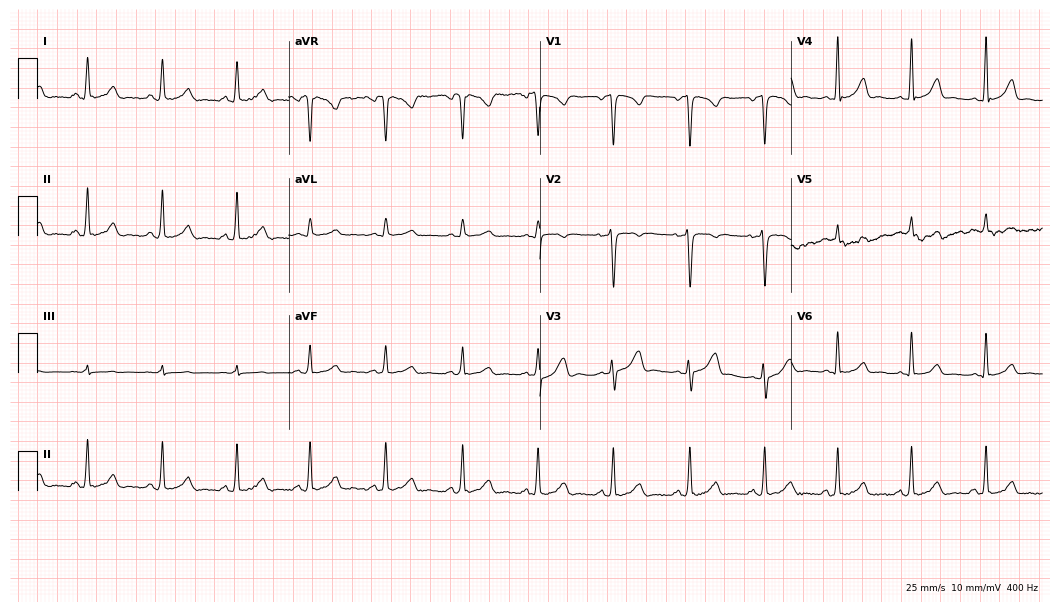
Resting 12-lead electrocardiogram (10.2-second recording at 400 Hz). Patient: a female, 25 years old. Read as a normal ECG.